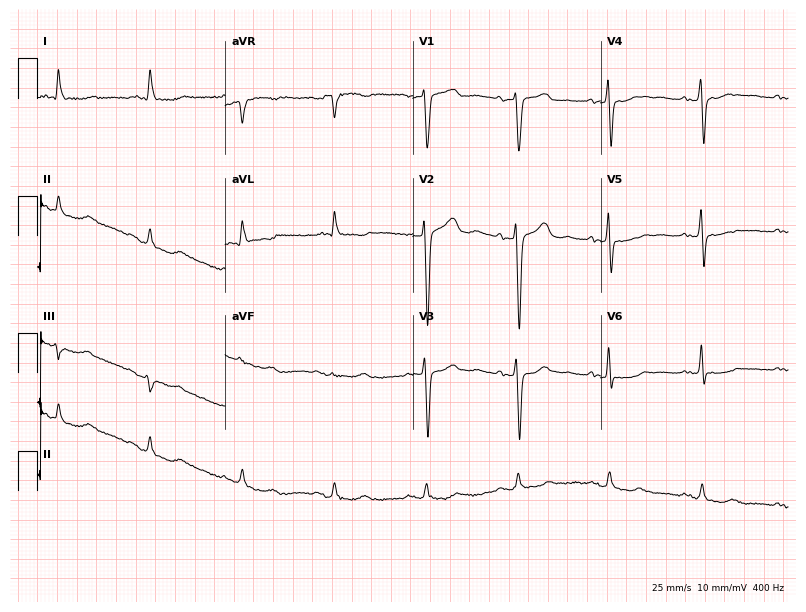
ECG — a 64-year-old female patient. Screened for six findings — first-degree AV block, right bundle branch block, left bundle branch block, sinus bradycardia, atrial fibrillation, sinus tachycardia — none is recorded. Other findings, if any, are not listed.